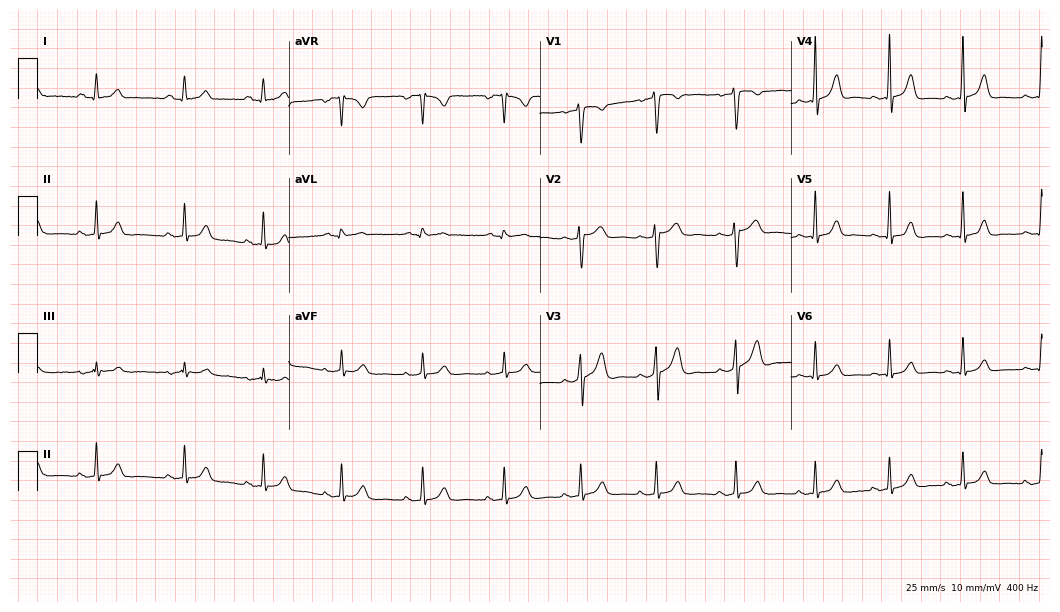
Resting 12-lead electrocardiogram. Patient: a 20-year-old female. Read as a normal ECG.